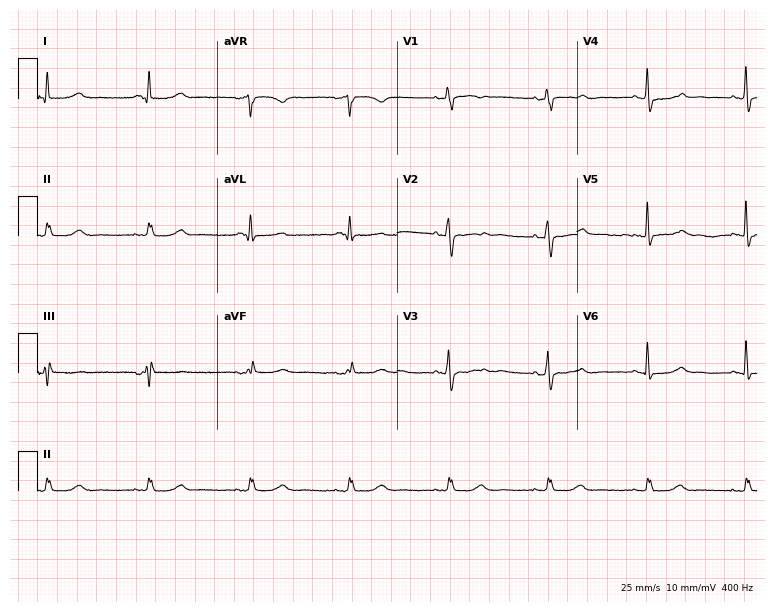
Resting 12-lead electrocardiogram. Patient: a 69-year-old female. None of these six findings is recorded: first-degree AV block, right bundle branch block, left bundle branch block, sinus bradycardia, atrial fibrillation, sinus tachycardia.